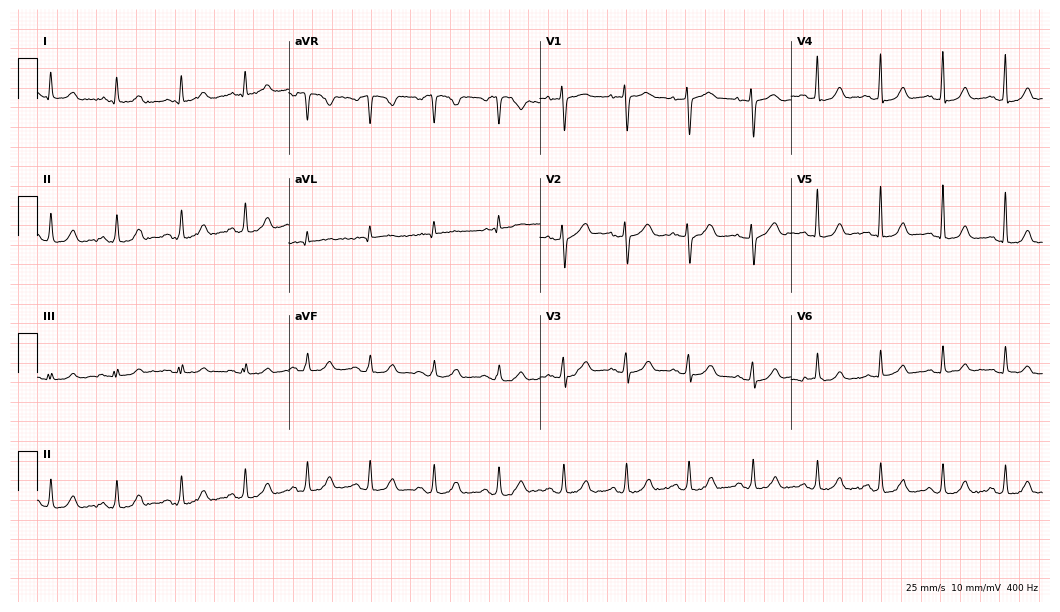
Resting 12-lead electrocardiogram (10.2-second recording at 400 Hz). Patient: a female, 59 years old. Read as a normal ECG.